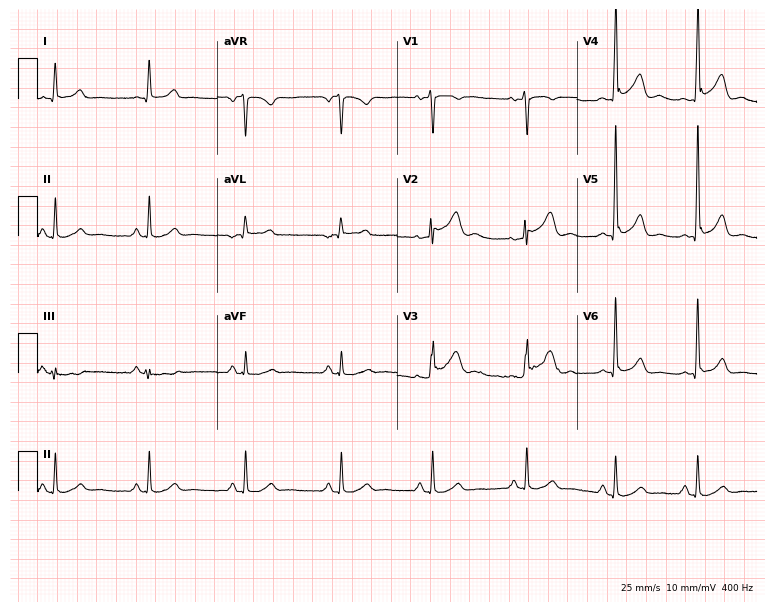
ECG — a male patient, 43 years old. Screened for six findings — first-degree AV block, right bundle branch block, left bundle branch block, sinus bradycardia, atrial fibrillation, sinus tachycardia — none is recorded. Other findings, if any, are not listed.